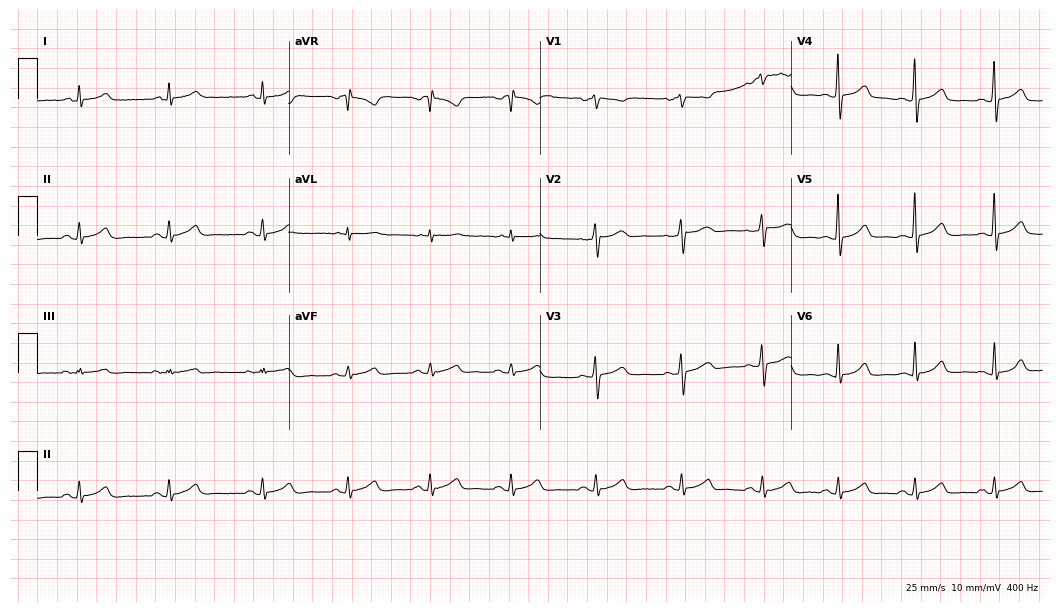
ECG (10.2-second recording at 400 Hz) — a female, 39 years old. Labelled as a normal ECG.